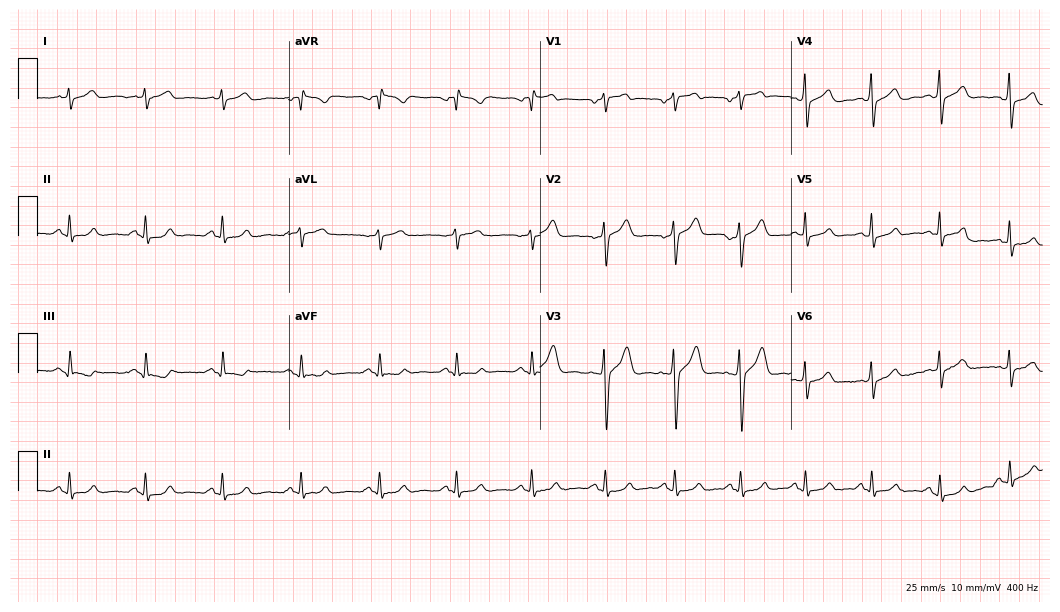
Electrocardiogram, a 31-year-old man. Of the six screened findings (first-degree AV block, right bundle branch block (RBBB), left bundle branch block (LBBB), sinus bradycardia, atrial fibrillation (AF), sinus tachycardia), none is recorded. Findings outside these six are not listed.